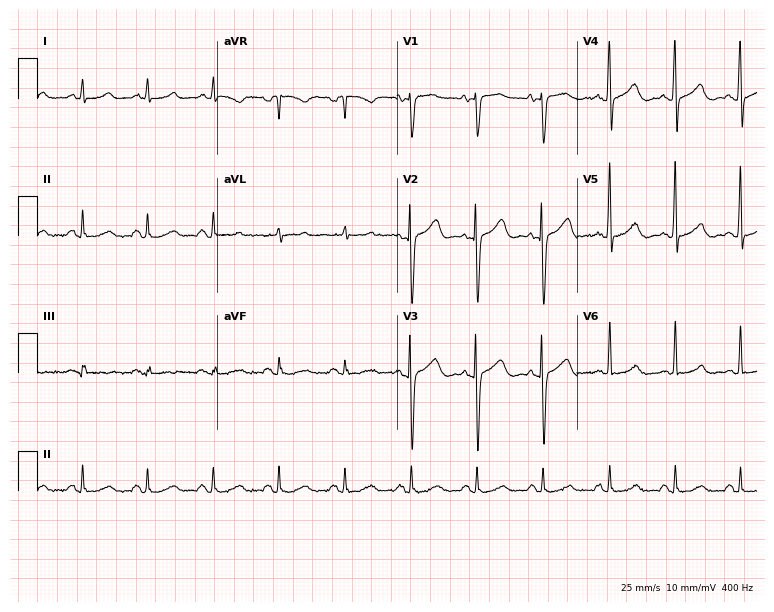
12-lead ECG from a male, 78 years old. Screened for six findings — first-degree AV block, right bundle branch block, left bundle branch block, sinus bradycardia, atrial fibrillation, sinus tachycardia — none is recorded. Other findings, if any, are not listed.